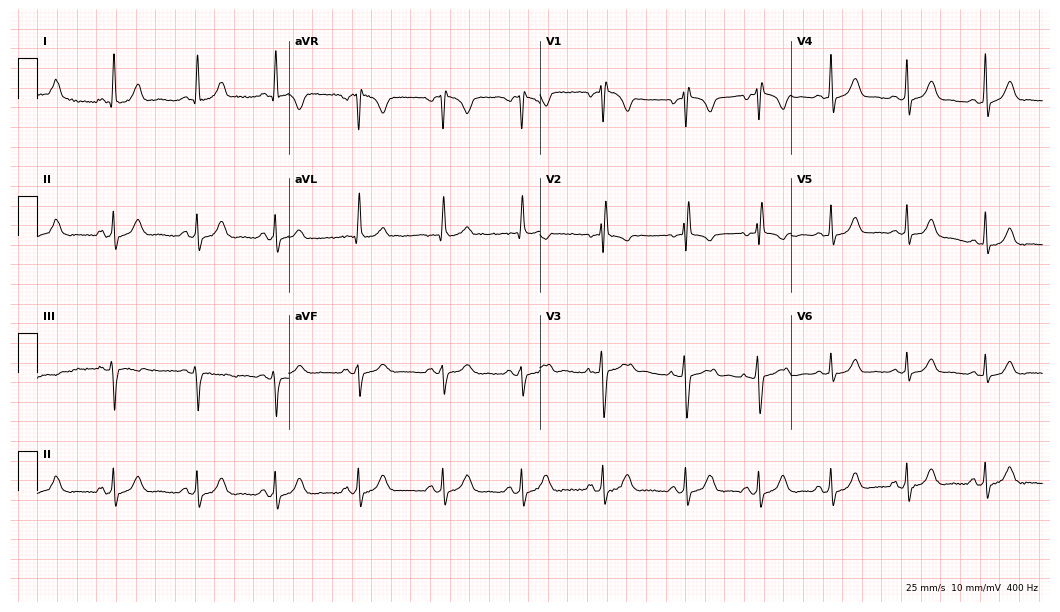
12-lead ECG from a female patient, 26 years old (10.2-second recording at 400 Hz). No first-degree AV block, right bundle branch block, left bundle branch block, sinus bradycardia, atrial fibrillation or sinus tachycardia recorded for this tracing. Findings outside these six are not listed.